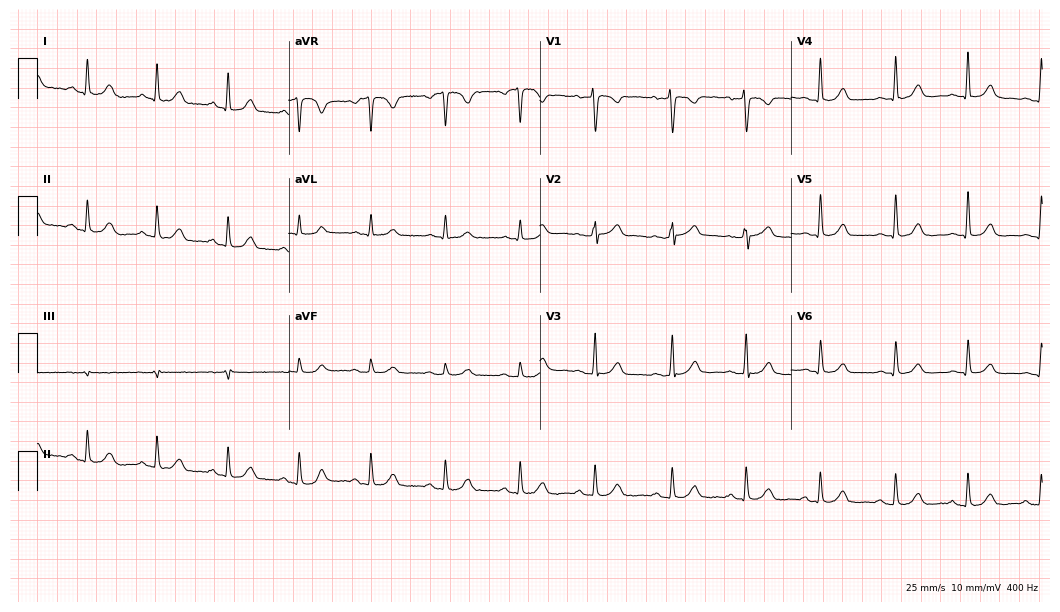
12-lead ECG (10.2-second recording at 400 Hz) from a female, 45 years old. Labelled as a normal ECG.